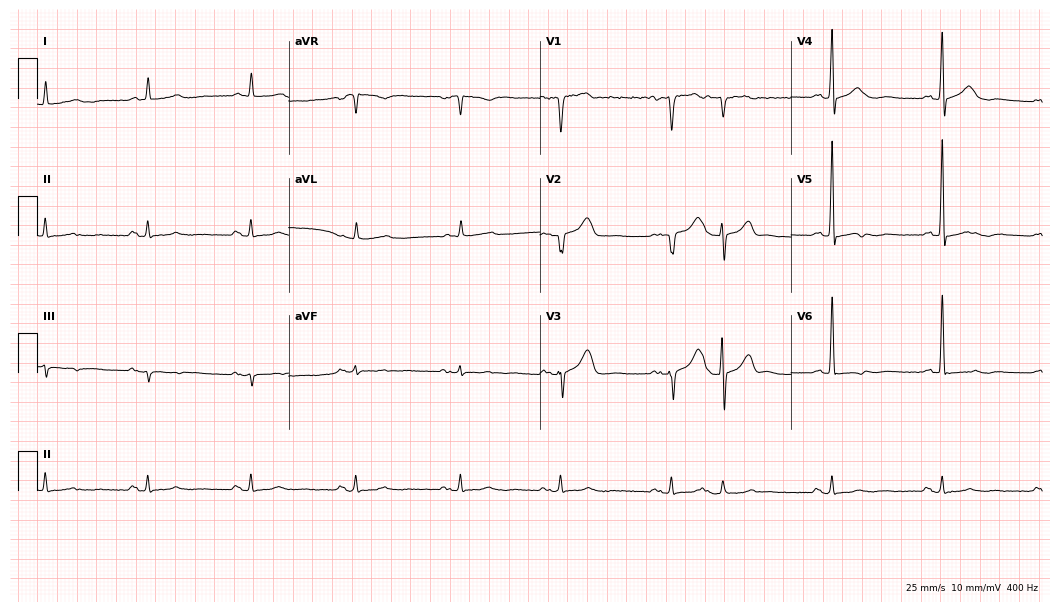
12-lead ECG from a male patient, 76 years old (10.2-second recording at 400 Hz). No first-degree AV block, right bundle branch block, left bundle branch block, sinus bradycardia, atrial fibrillation or sinus tachycardia recorded for this tracing.